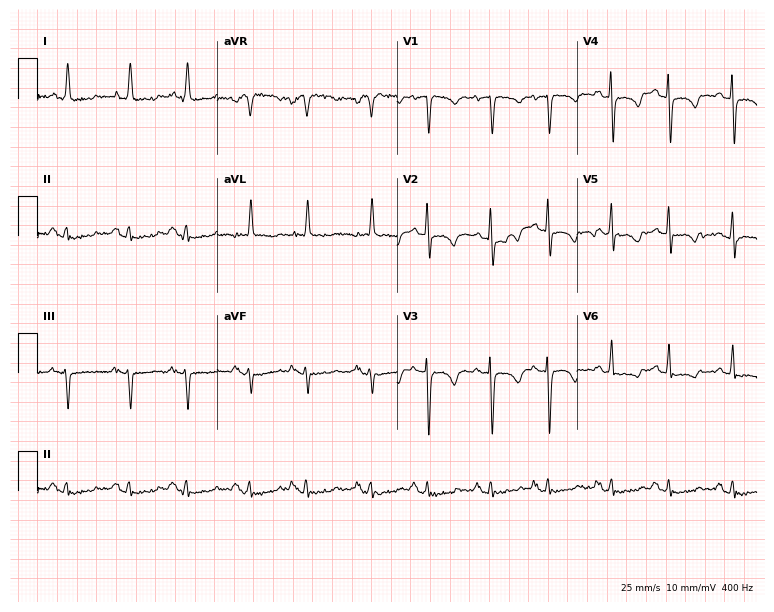
12-lead ECG from a 76-year-old female patient (7.3-second recording at 400 Hz). No first-degree AV block, right bundle branch block, left bundle branch block, sinus bradycardia, atrial fibrillation or sinus tachycardia recorded for this tracing. Other findings, if any, are not listed.